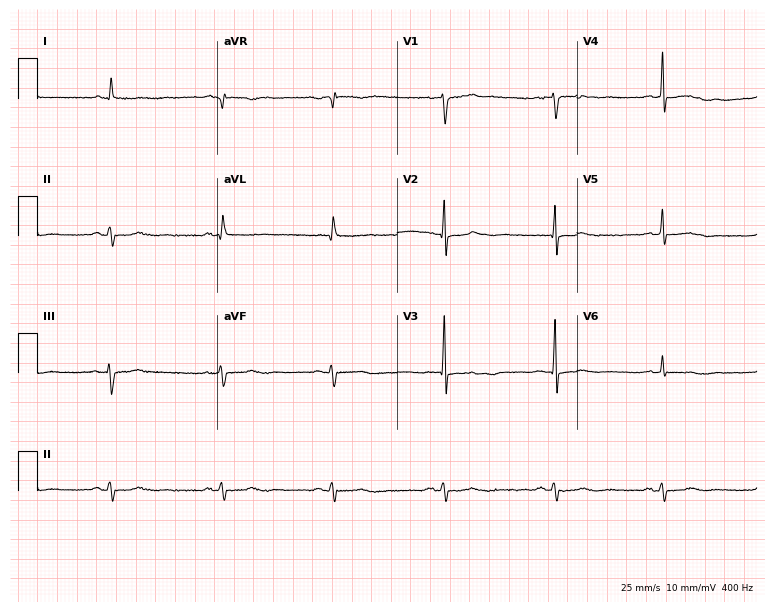
ECG (7.3-second recording at 400 Hz) — an 81-year-old man. Screened for six findings — first-degree AV block, right bundle branch block, left bundle branch block, sinus bradycardia, atrial fibrillation, sinus tachycardia — none is recorded. Findings outside these six are not listed.